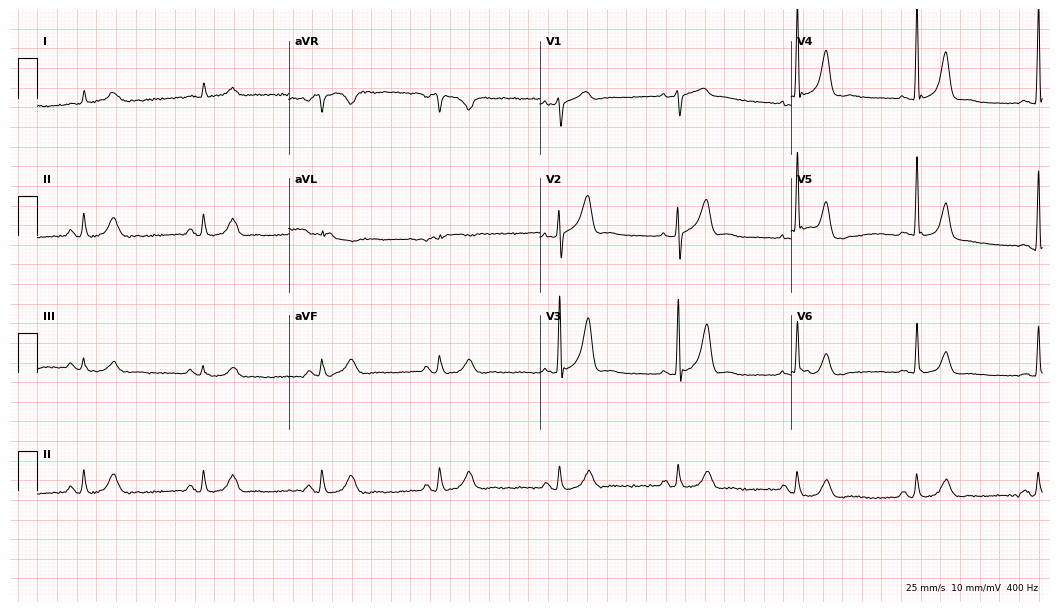
Resting 12-lead electrocardiogram. Patient: a male, 84 years old. None of these six findings is recorded: first-degree AV block, right bundle branch block, left bundle branch block, sinus bradycardia, atrial fibrillation, sinus tachycardia. Other findings, if any, are not listed.